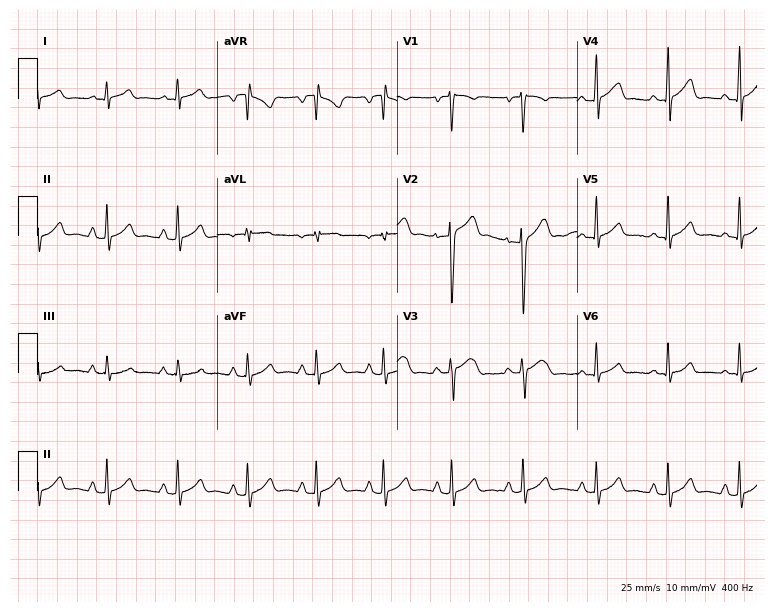
12-lead ECG from a male patient, 18 years old. Recorded interpretation: within normal limits.